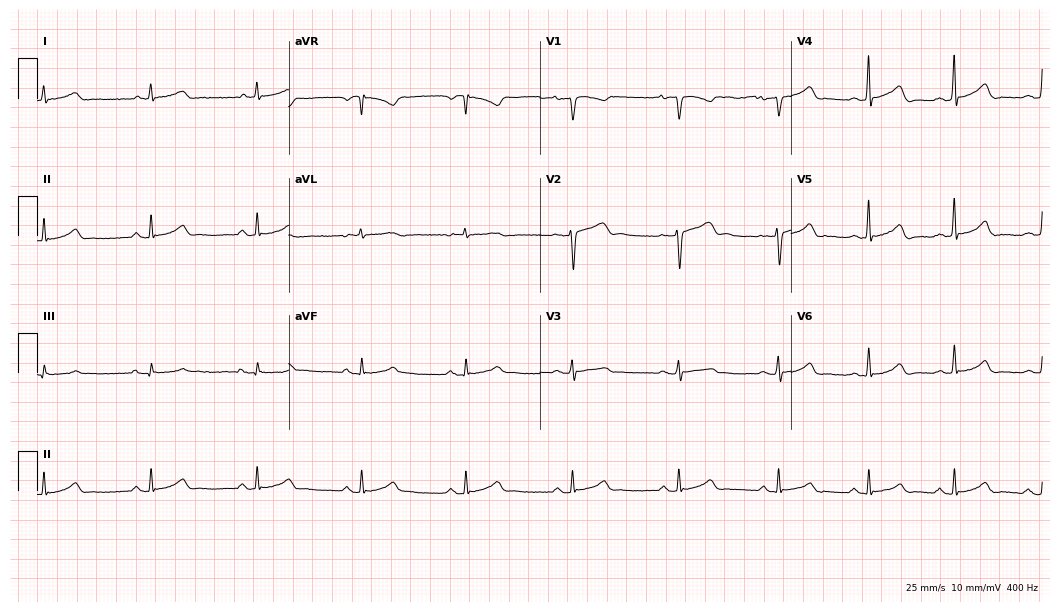
ECG — a 29-year-old female. Labelled as a normal ECG.